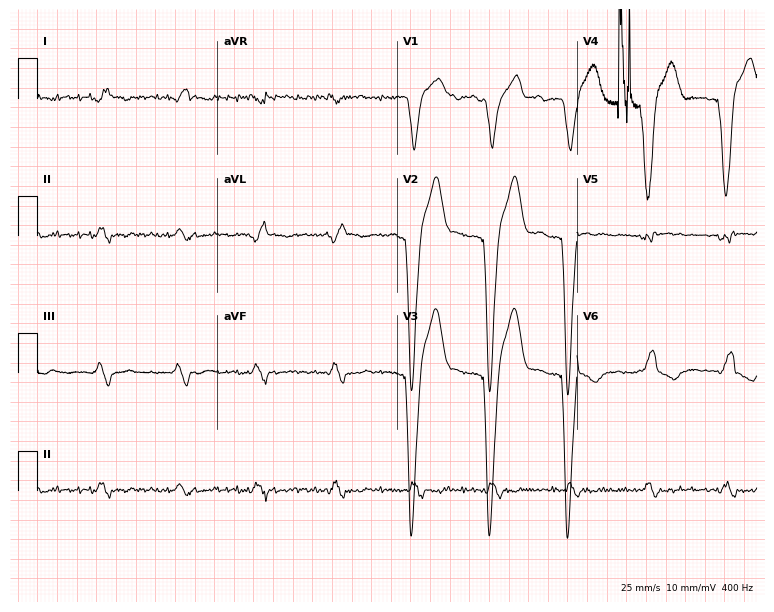
Electrocardiogram, a man, 71 years old. Of the six screened findings (first-degree AV block, right bundle branch block (RBBB), left bundle branch block (LBBB), sinus bradycardia, atrial fibrillation (AF), sinus tachycardia), none is recorded. Only these six findings were labelled.